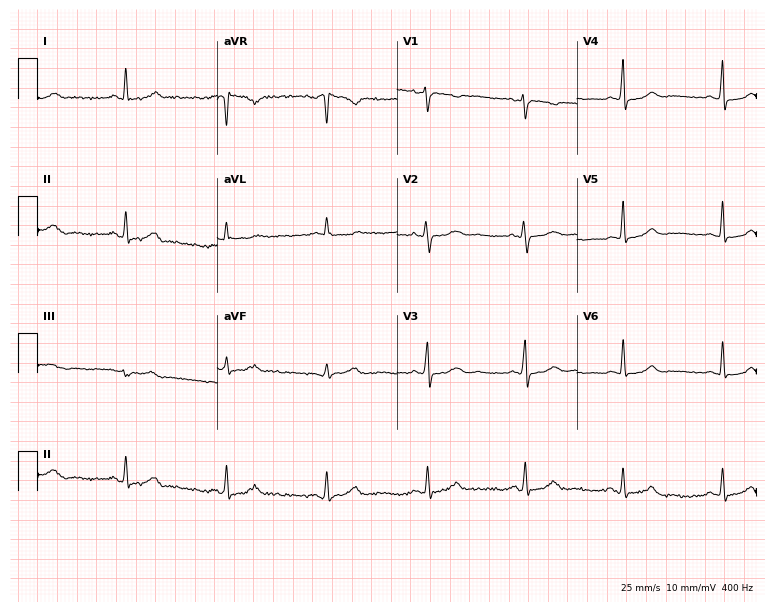
12-lead ECG from a female, 39 years old. No first-degree AV block, right bundle branch block (RBBB), left bundle branch block (LBBB), sinus bradycardia, atrial fibrillation (AF) or sinus tachycardia recorded for this tracing. Findings outside these six are not listed.